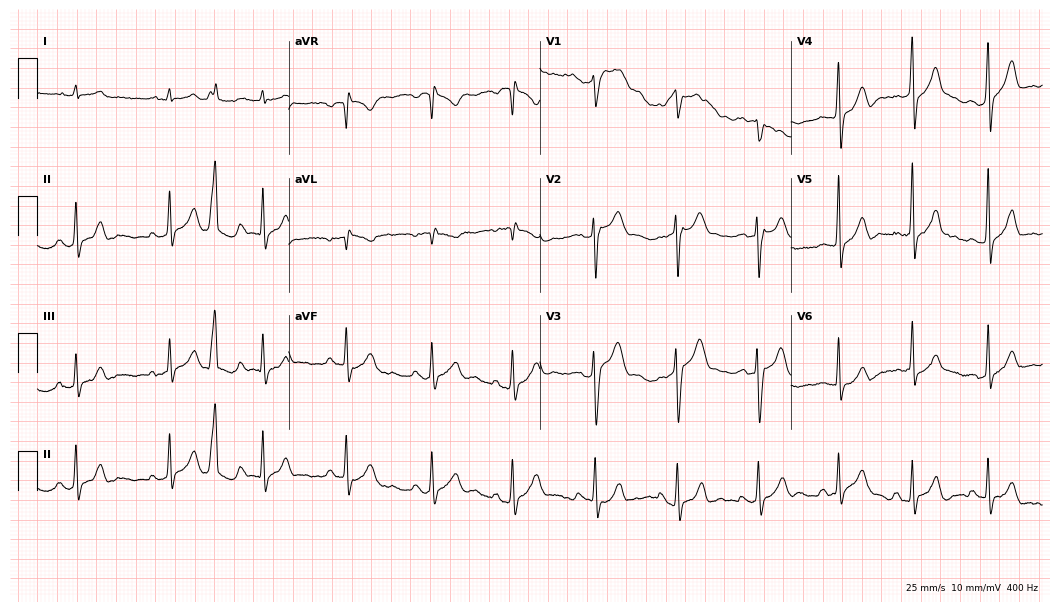
12-lead ECG (10.2-second recording at 400 Hz) from a man, 47 years old. Screened for six findings — first-degree AV block, right bundle branch block, left bundle branch block, sinus bradycardia, atrial fibrillation, sinus tachycardia — none is recorded. Other findings, if any, are not listed.